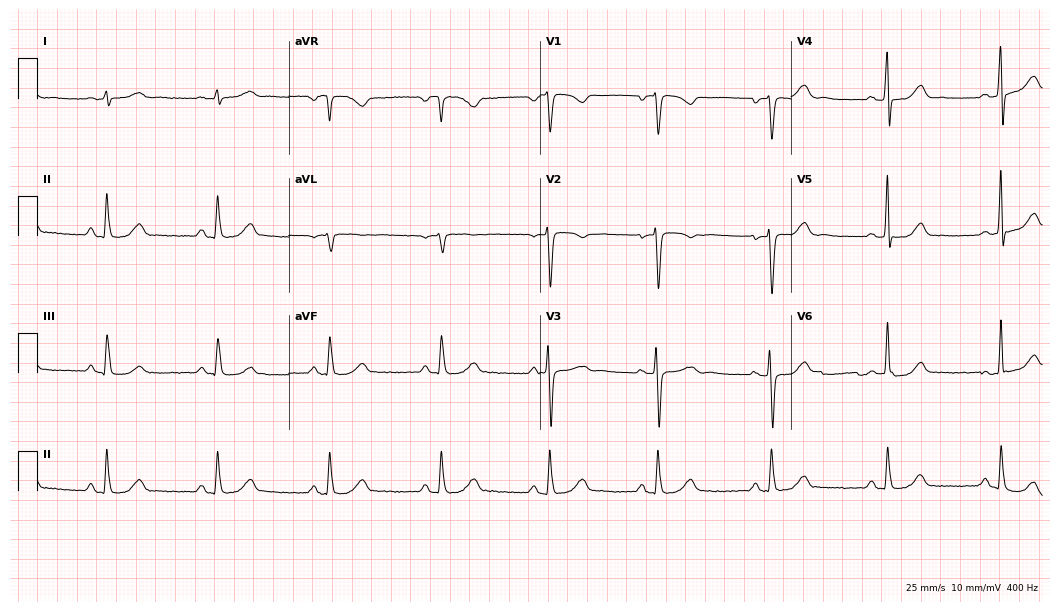
12-lead ECG from a female patient, 51 years old. Screened for six findings — first-degree AV block, right bundle branch block (RBBB), left bundle branch block (LBBB), sinus bradycardia, atrial fibrillation (AF), sinus tachycardia — none is recorded. Findings outside these six are not listed.